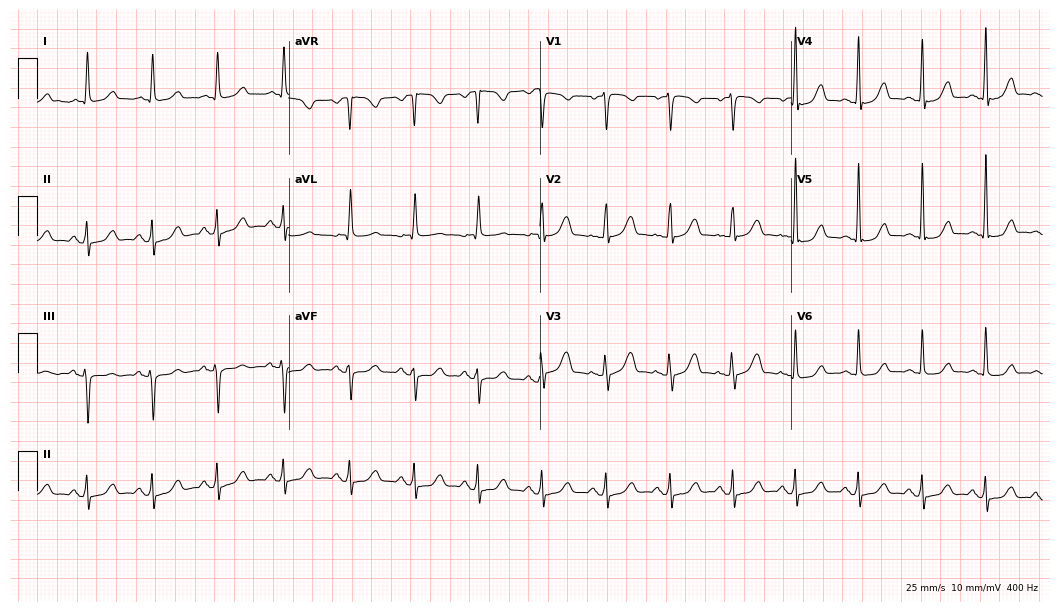
ECG — a female, 56 years old. Labelled as a normal ECG.